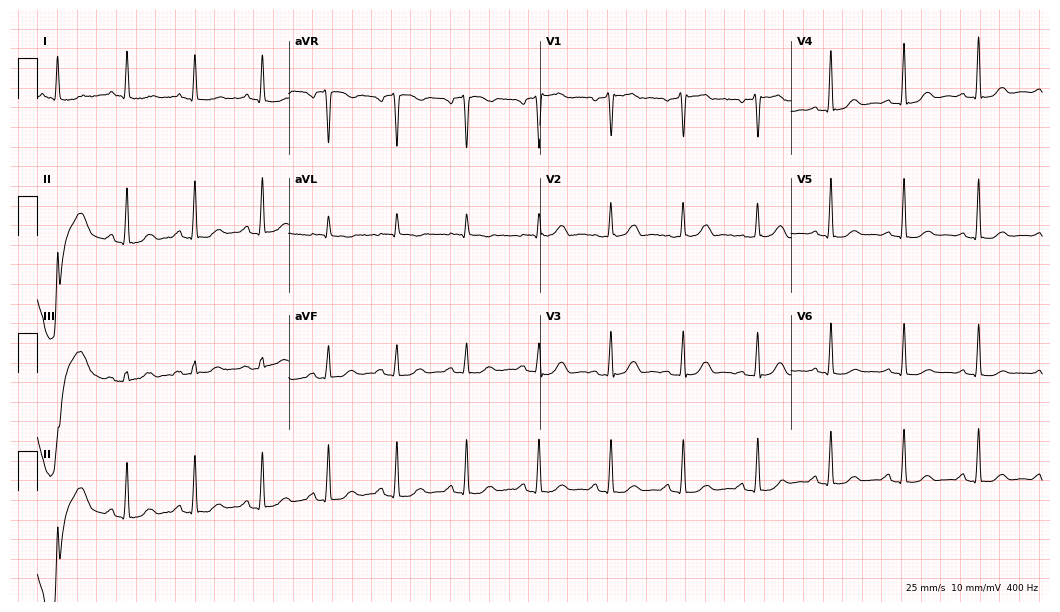
12-lead ECG from a woman, 56 years old. Labelled as a normal ECG.